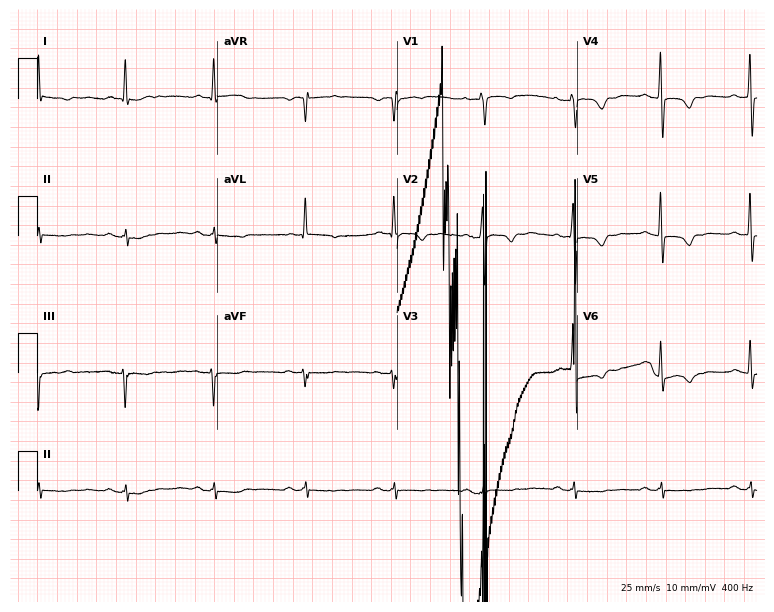
ECG — a male, 79 years old. Screened for six findings — first-degree AV block, right bundle branch block, left bundle branch block, sinus bradycardia, atrial fibrillation, sinus tachycardia — none is recorded.